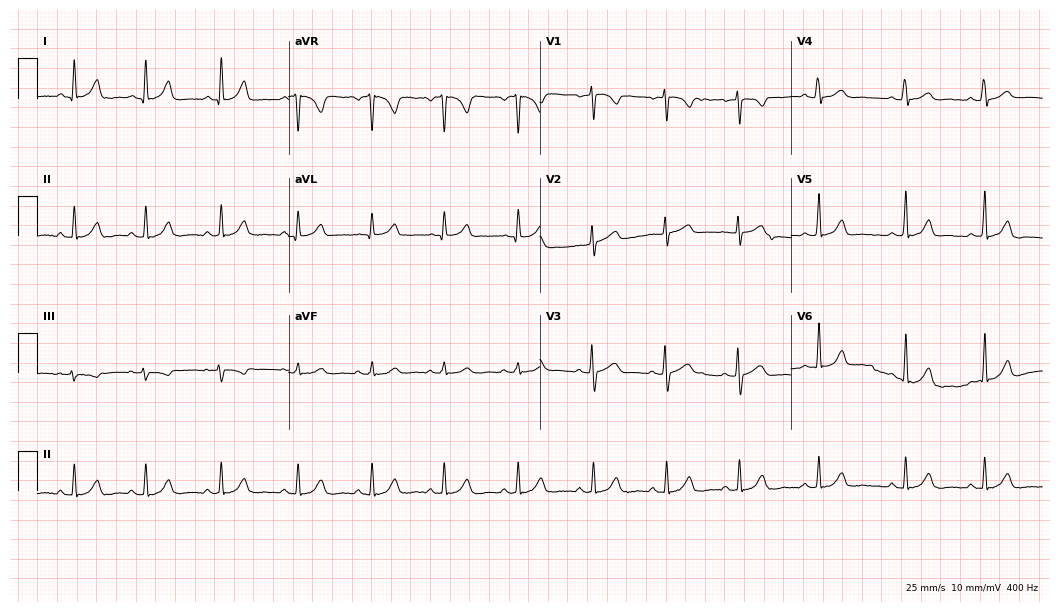
Resting 12-lead electrocardiogram (10.2-second recording at 400 Hz). Patient: a female, 38 years old. Read as a normal ECG.